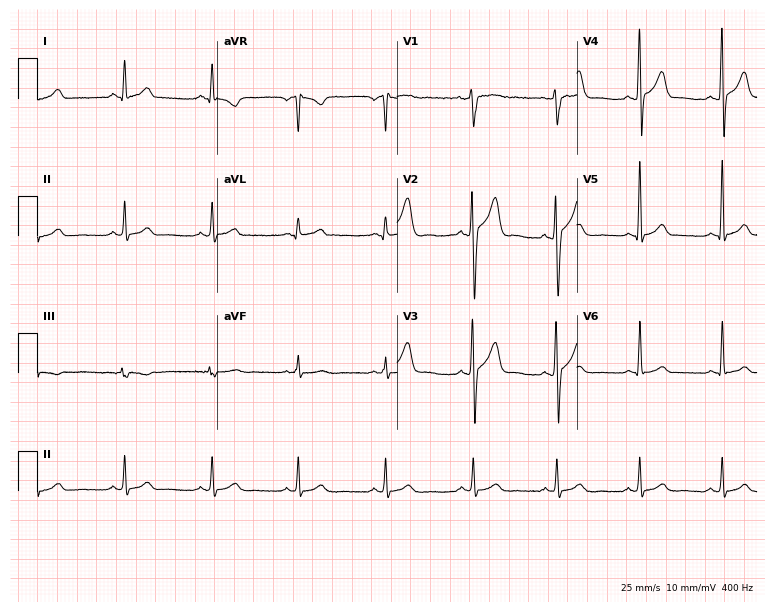
12-lead ECG from a male, 31 years old. Recorded interpretation: within normal limits.